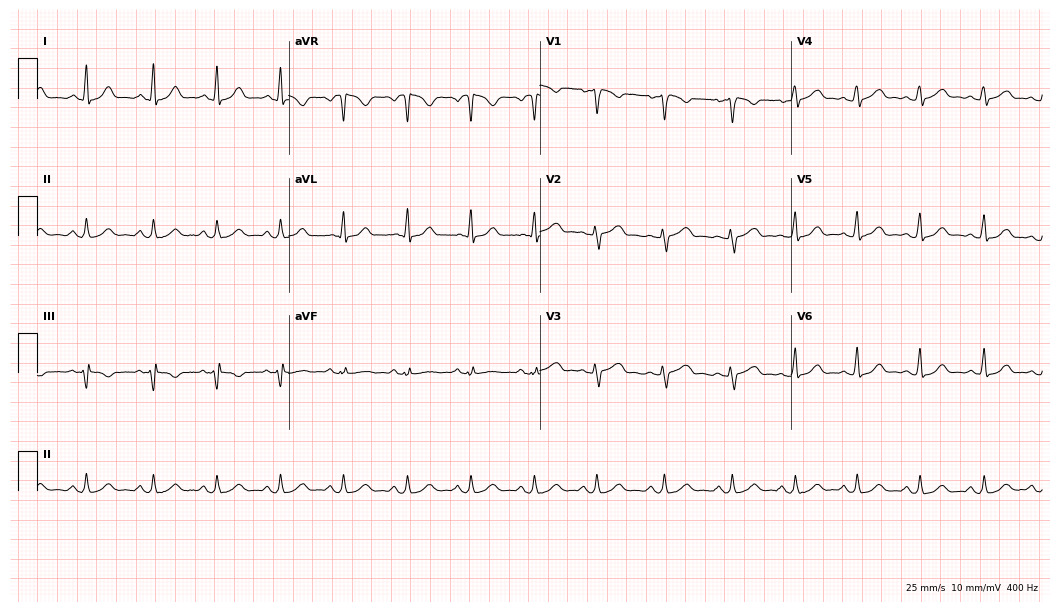
Resting 12-lead electrocardiogram (10.2-second recording at 400 Hz). Patient: a female, 23 years old. Read as a normal ECG.